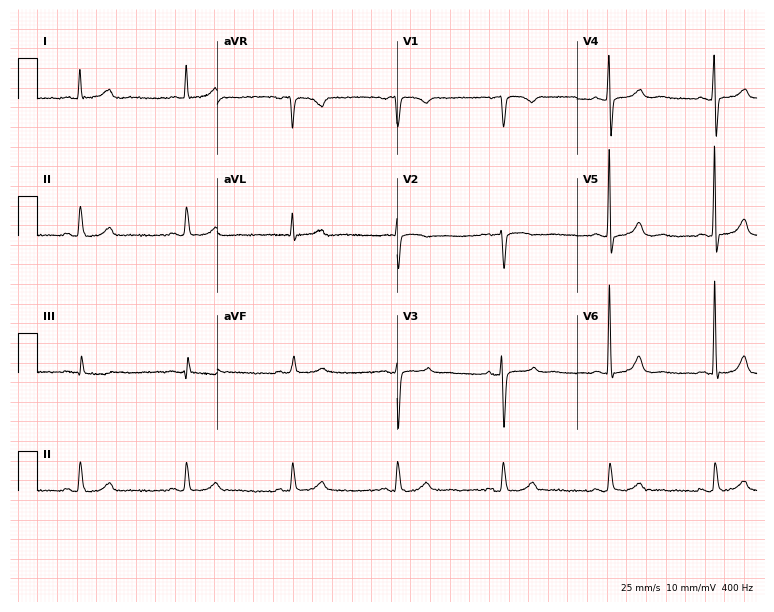
12-lead ECG from a female, 76 years old. Recorded interpretation: within normal limits.